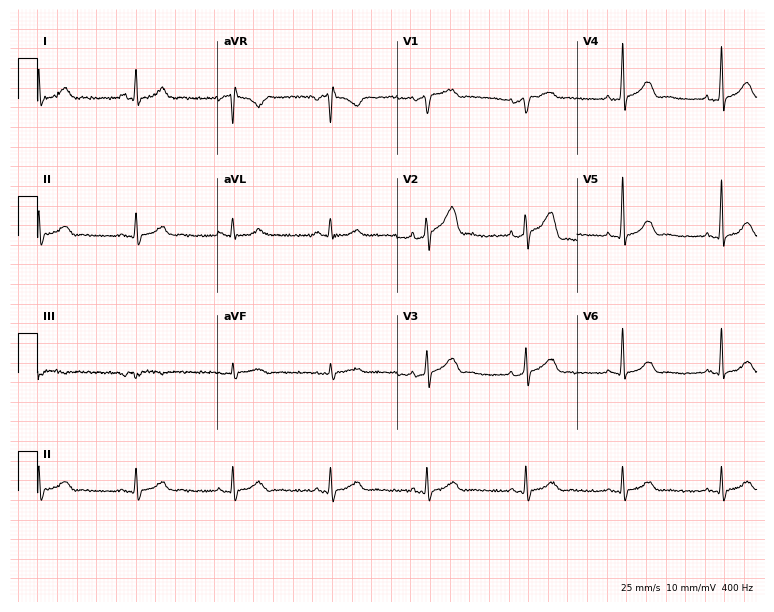
12-lead ECG from a male, 55 years old. No first-degree AV block, right bundle branch block, left bundle branch block, sinus bradycardia, atrial fibrillation or sinus tachycardia recorded for this tracing.